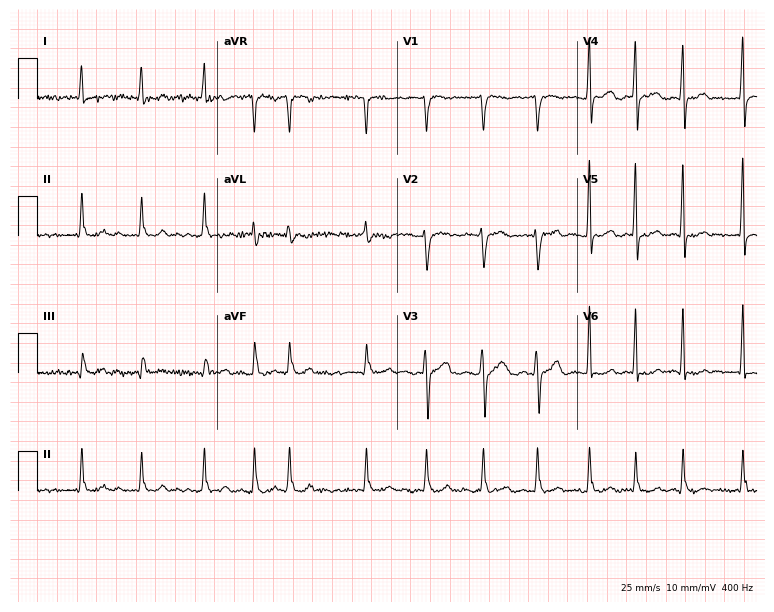
ECG — a 50-year-old female patient. Findings include atrial fibrillation.